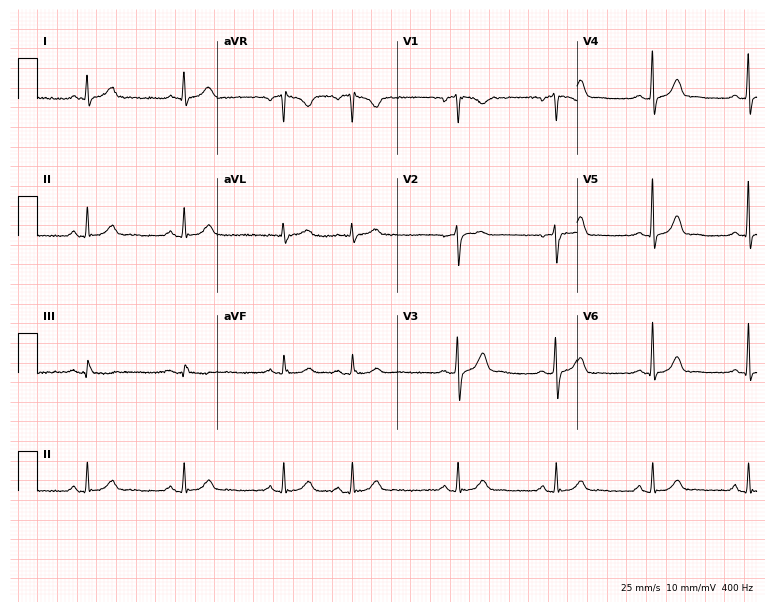
Resting 12-lead electrocardiogram (7.3-second recording at 400 Hz). Patient: a 63-year-old male. Read as a normal ECG.